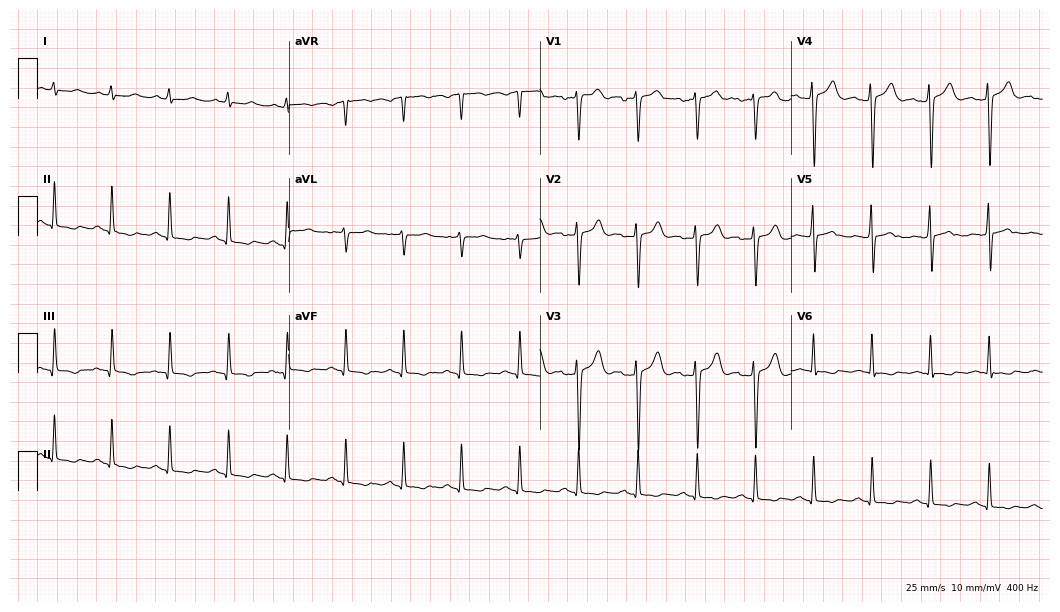
ECG — a 31-year-old man. Screened for six findings — first-degree AV block, right bundle branch block, left bundle branch block, sinus bradycardia, atrial fibrillation, sinus tachycardia — none is recorded.